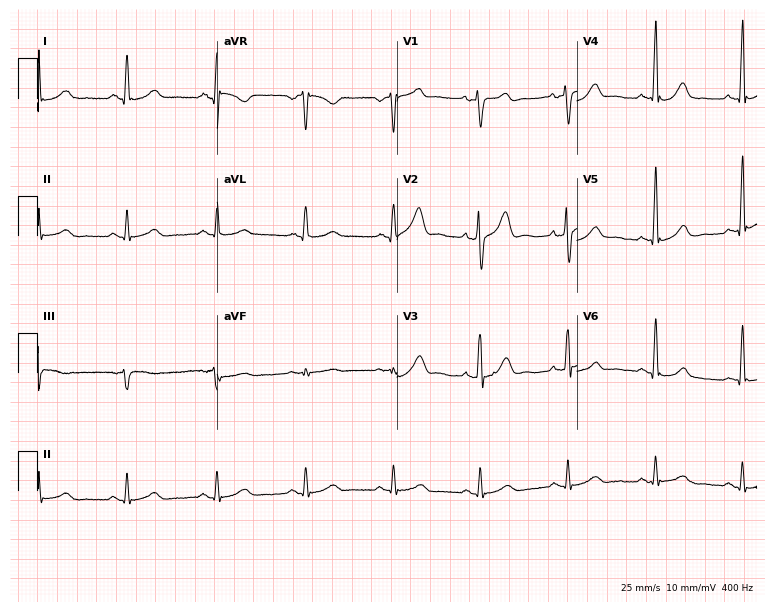
ECG — a 48-year-old man. Labelled as a normal ECG.